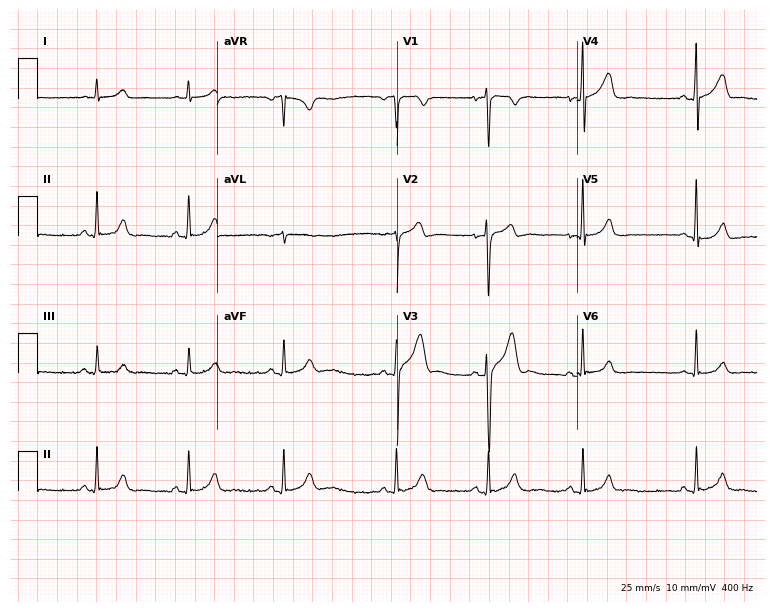
Resting 12-lead electrocardiogram. Patient: a 24-year-old male. Read as a normal ECG.